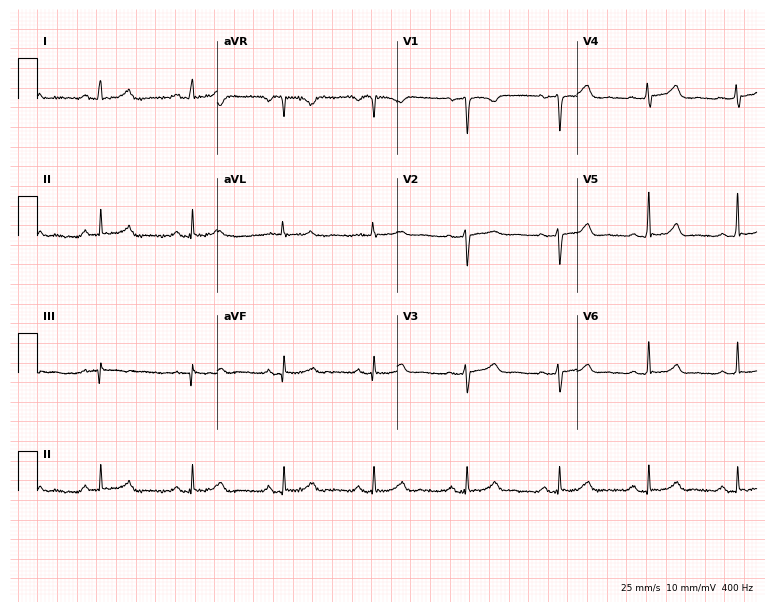
12-lead ECG from a woman, 32 years old (7.3-second recording at 400 Hz). No first-degree AV block, right bundle branch block, left bundle branch block, sinus bradycardia, atrial fibrillation or sinus tachycardia recorded for this tracing. Only these six findings were labelled.